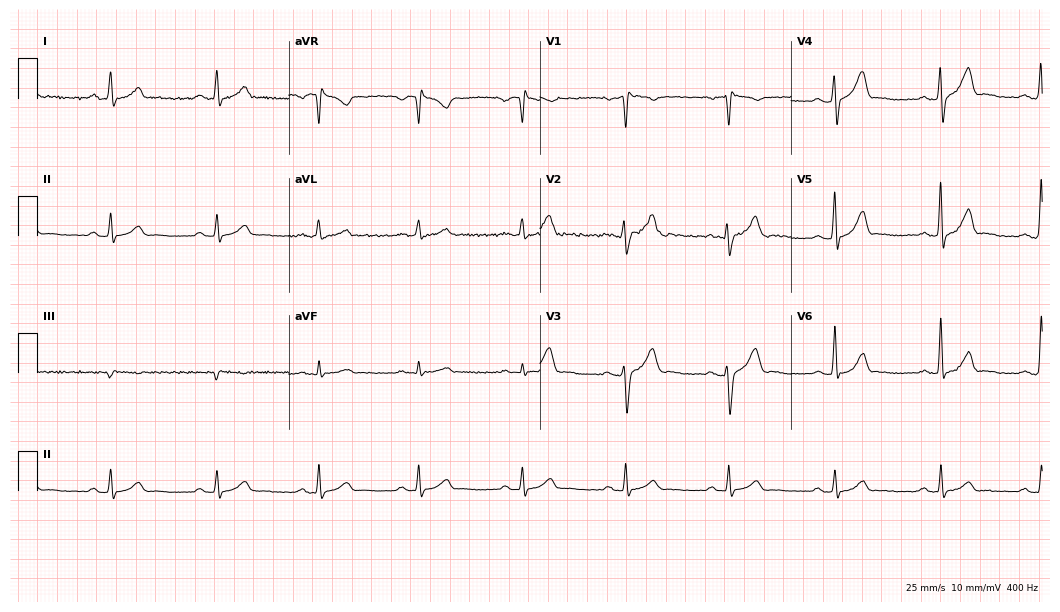
ECG — a 49-year-old male patient. Screened for six findings — first-degree AV block, right bundle branch block, left bundle branch block, sinus bradycardia, atrial fibrillation, sinus tachycardia — none is recorded. Findings outside these six are not listed.